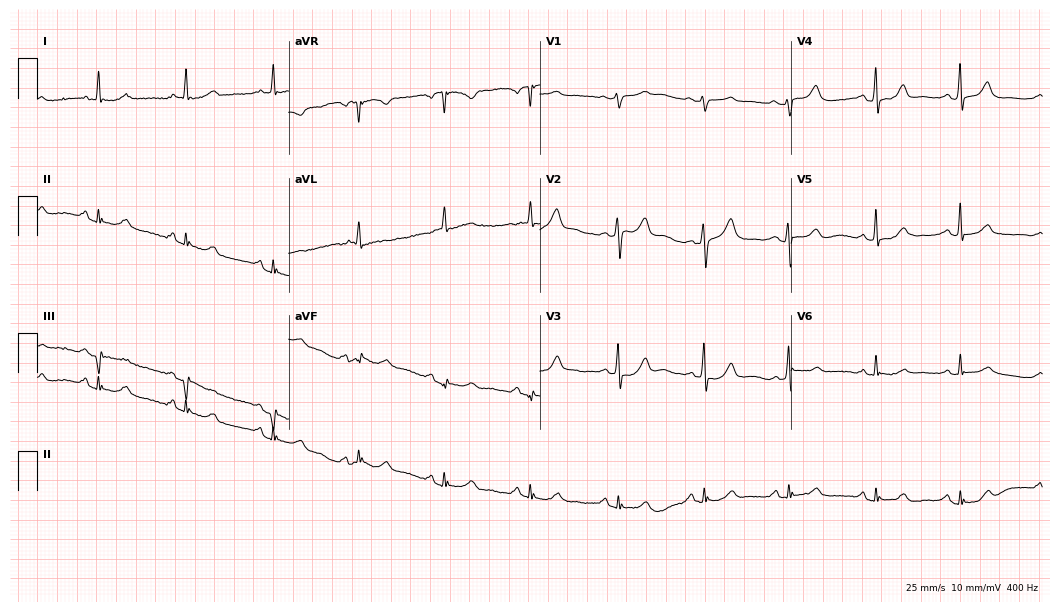
Resting 12-lead electrocardiogram (10.2-second recording at 400 Hz). Patient: a female, 70 years old. None of these six findings is recorded: first-degree AV block, right bundle branch block, left bundle branch block, sinus bradycardia, atrial fibrillation, sinus tachycardia.